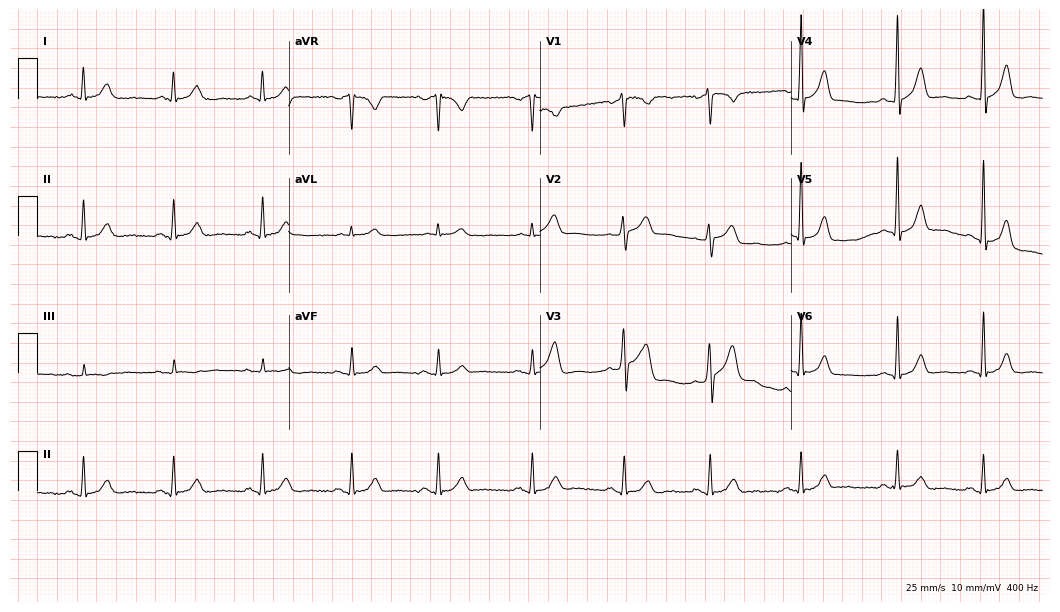
ECG (10.2-second recording at 400 Hz) — a 45-year-old male. Labelled as a normal ECG.